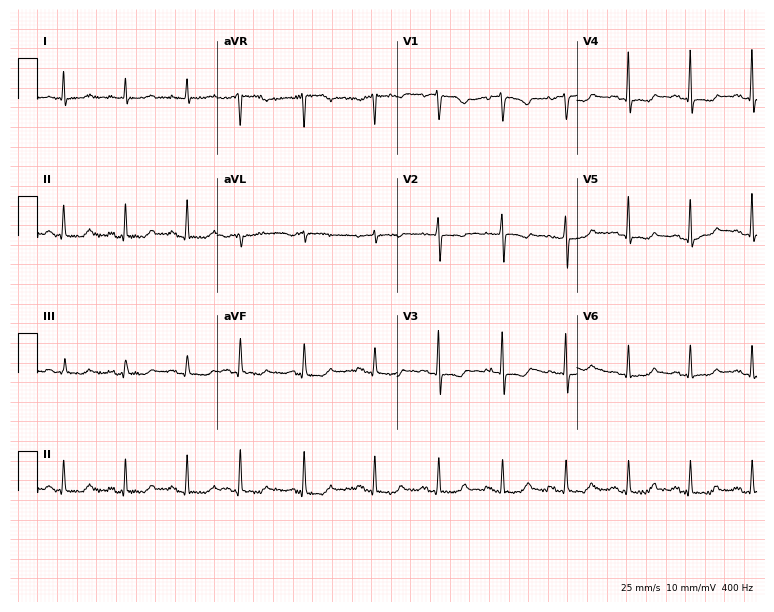
Standard 12-lead ECG recorded from a 68-year-old woman (7.3-second recording at 400 Hz). None of these six findings is recorded: first-degree AV block, right bundle branch block, left bundle branch block, sinus bradycardia, atrial fibrillation, sinus tachycardia. Findings outside these six are not listed.